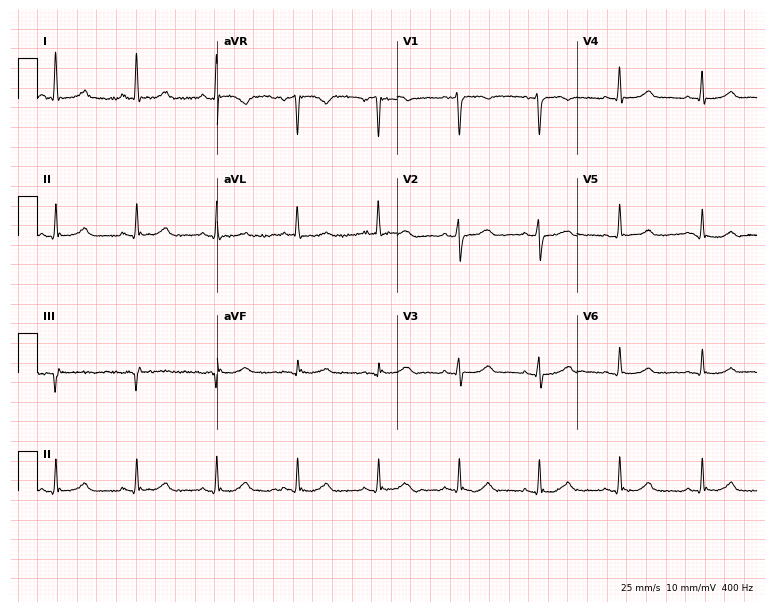
12-lead ECG from a female patient, 56 years old. Labelled as a normal ECG.